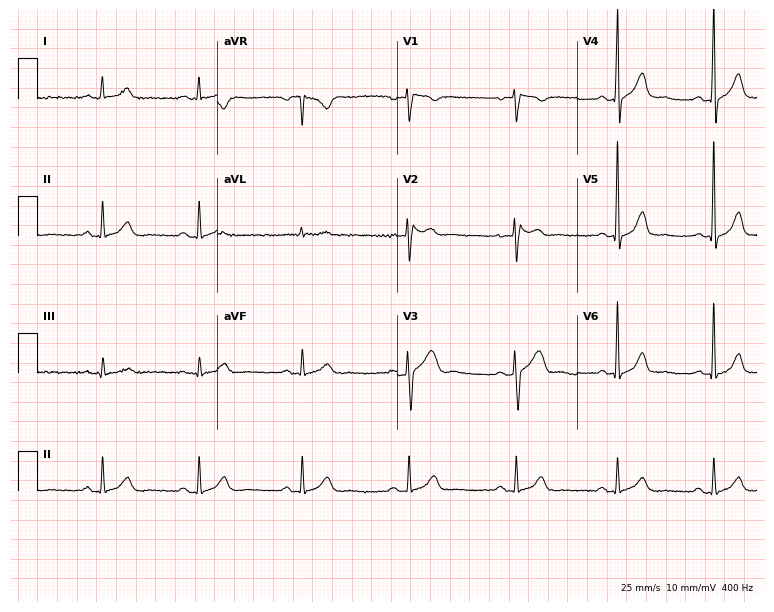
Resting 12-lead electrocardiogram. Patient: a 47-year-old man. Read as a normal ECG.